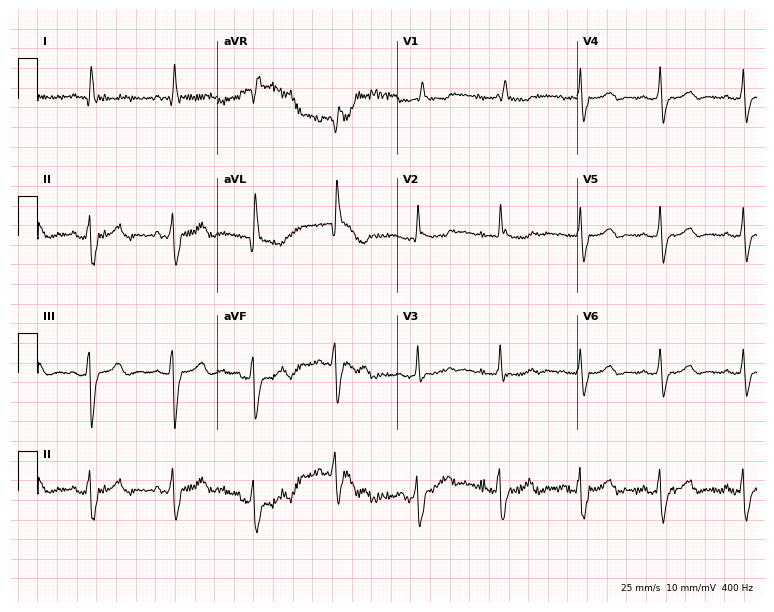
12-lead ECG (7.3-second recording at 400 Hz) from a woman, 61 years old. Screened for six findings — first-degree AV block, right bundle branch block, left bundle branch block, sinus bradycardia, atrial fibrillation, sinus tachycardia — none is recorded. Findings outside these six are not listed.